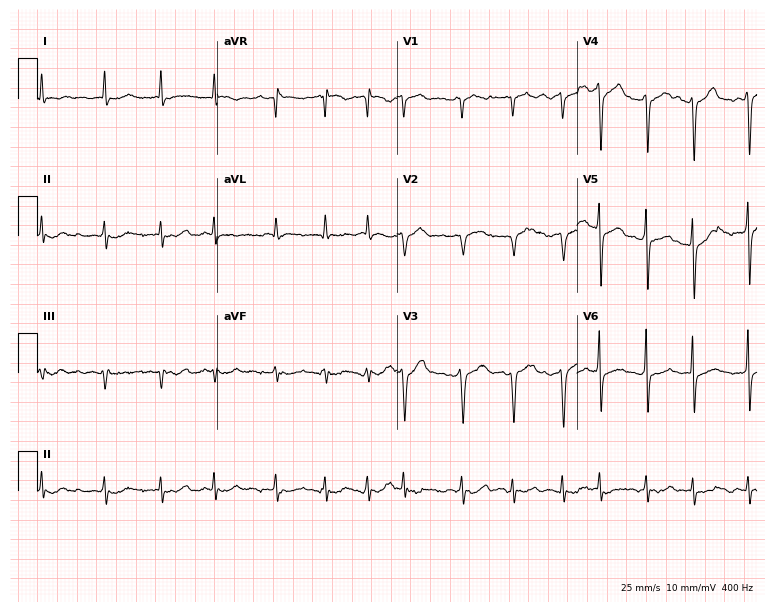
12-lead ECG from a male patient, 79 years old (7.3-second recording at 400 Hz). Shows atrial fibrillation.